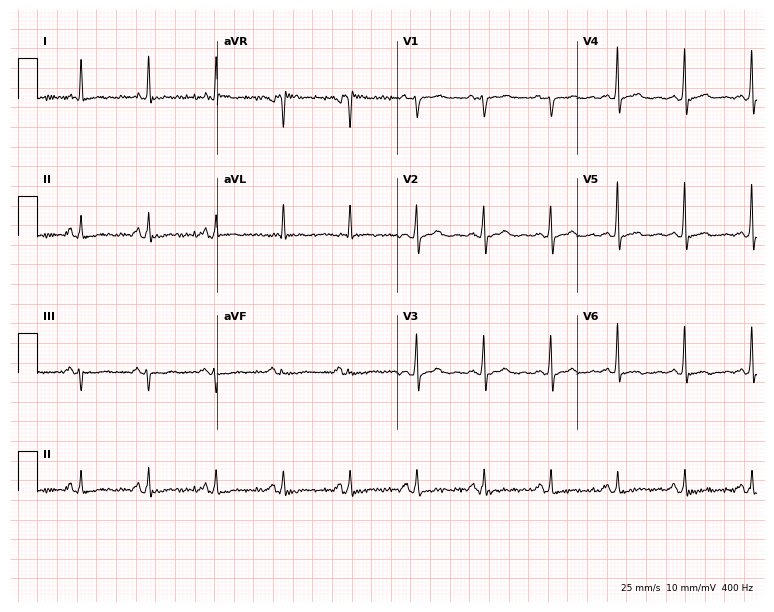
Resting 12-lead electrocardiogram (7.3-second recording at 400 Hz). Patient: a female, 65 years old. None of these six findings is recorded: first-degree AV block, right bundle branch block (RBBB), left bundle branch block (LBBB), sinus bradycardia, atrial fibrillation (AF), sinus tachycardia.